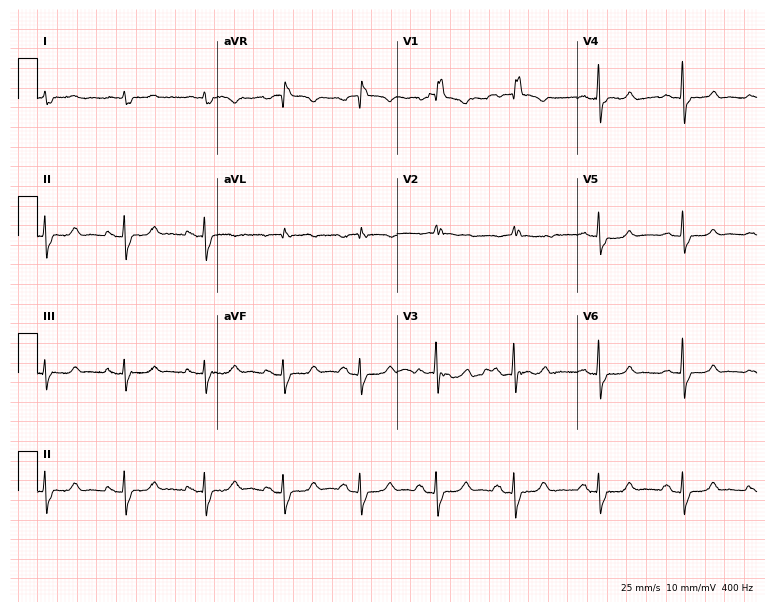
Resting 12-lead electrocardiogram (7.3-second recording at 400 Hz). Patient: a 75-year-old female. None of these six findings is recorded: first-degree AV block, right bundle branch block, left bundle branch block, sinus bradycardia, atrial fibrillation, sinus tachycardia.